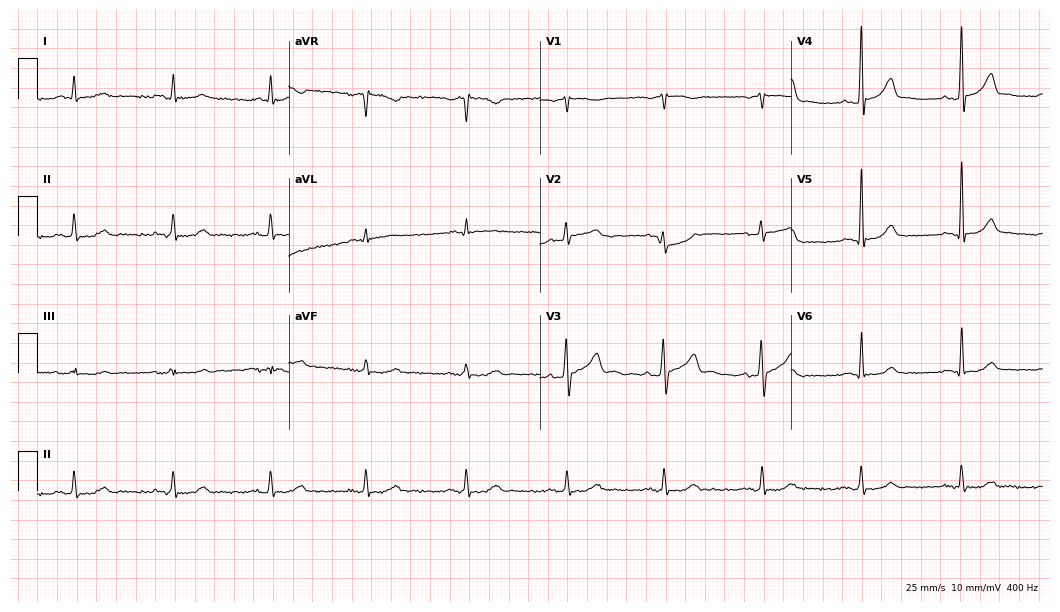
Standard 12-lead ECG recorded from a 64-year-old male. None of these six findings is recorded: first-degree AV block, right bundle branch block, left bundle branch block, sinus bradycardia, atrial fibrillation, sinus tachycardia. Other findings, if any, are not listed.